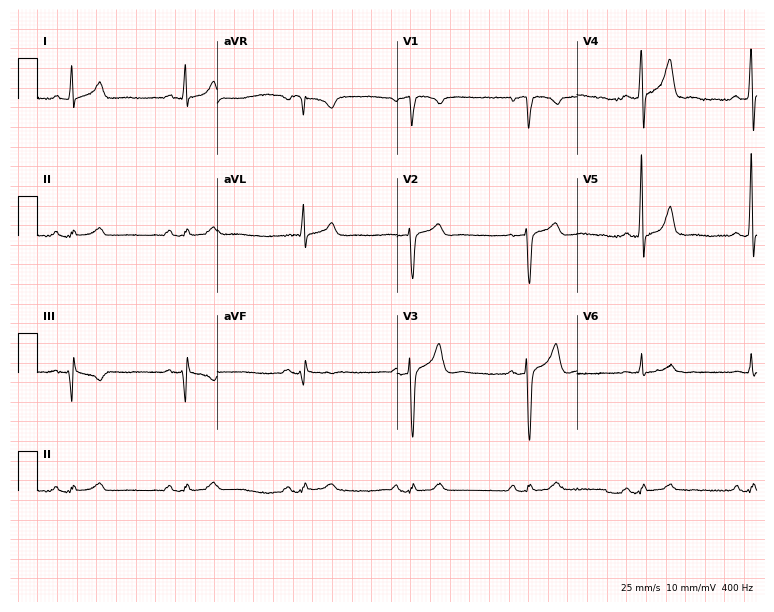
Standard 12-lead ECG recorded from a male patient, 52 years old. None of these six findings is recorded: first-degree AV block, right bundle branch block, left bundle branch block, sinus bradycardia, atrial fibrillation, sinus tachycardia.